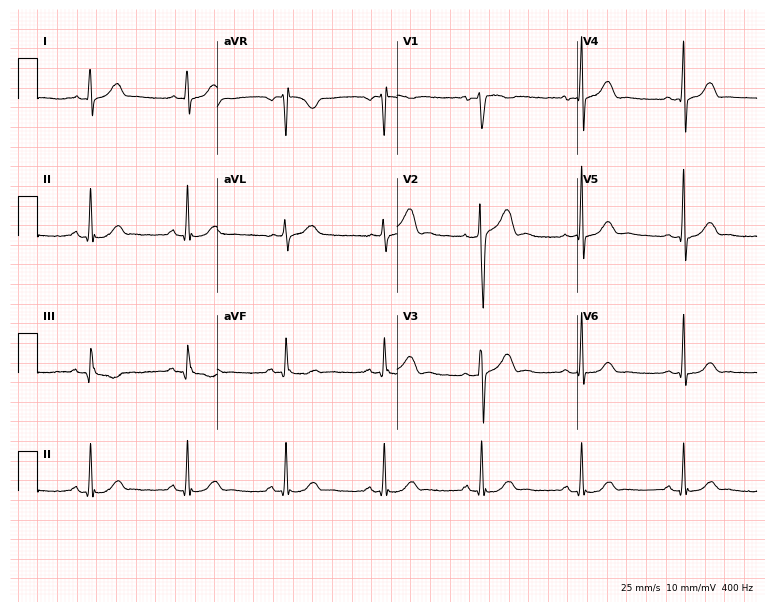
ECG (7.3-second recording at 400 Hz) — a 49-year-old male. Screened for six findings — first-degree AV block, right bundle branch block (RBBB), left bundle branch block (LBBB), sinus bradycardia, atrial fibrillation (AF), sinus tachycardia — none is recorded.